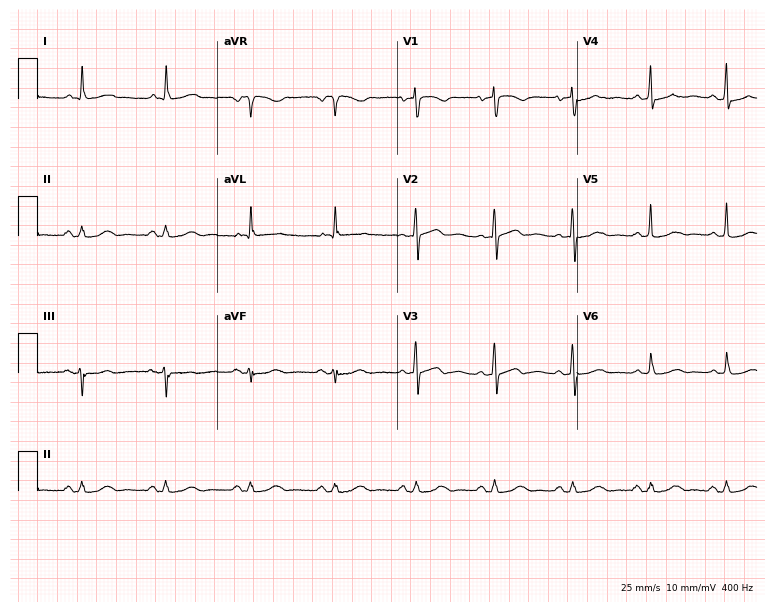
ECG — a female patient, 81 years old. Labelled as a normal ECG.